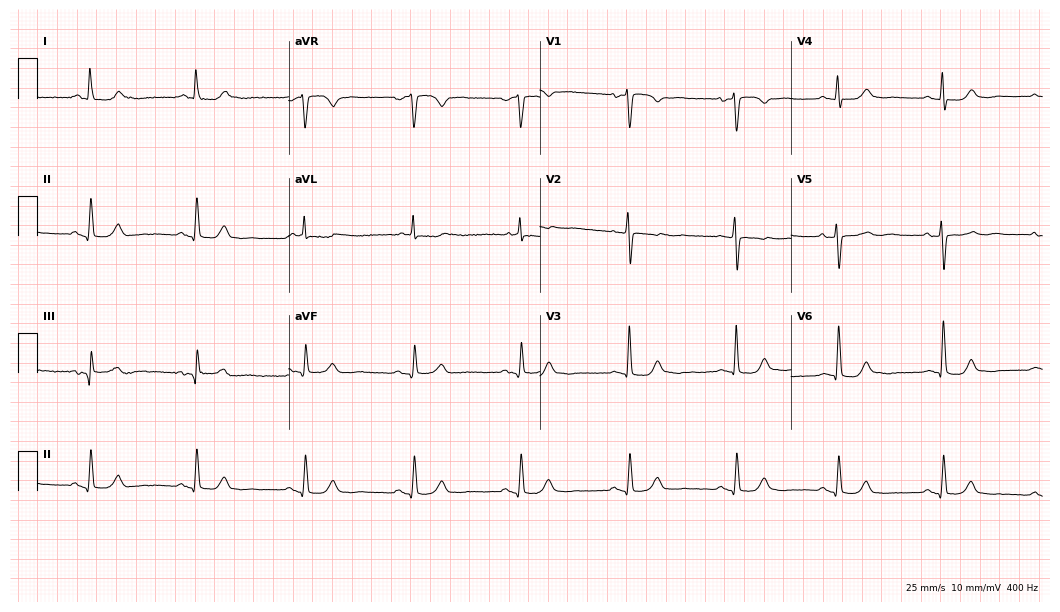
Electrocardiogram (10.2-second recording at 400 Hz), an 84-year-old female patient. Of the six screened findings (first-degree AV block, right bundle branch block, left bundle branch block, sinus bradycardia, atrial fibrillation, sinus tachycardia), none is recorded. Findings outside these six are not listed.